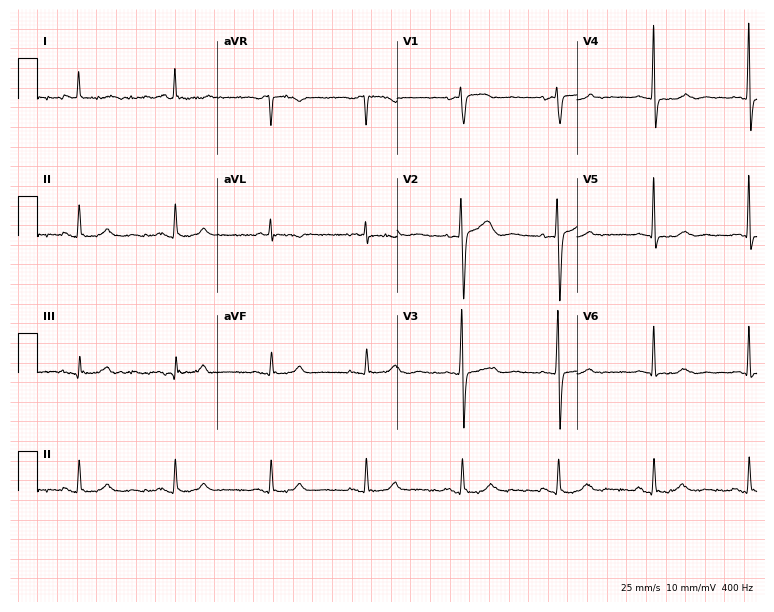
Resting 12-lead electrocardiogram (7.3-second recording at 400 Hz). Patient: a 65-year-old female. None of these six findings is recorded: first-degree AV block, right bundle branch block, left bundle branch block, sinus bradycardia, atrial fibrillation, sinus tachycardia. Findings outside these six are not listed.